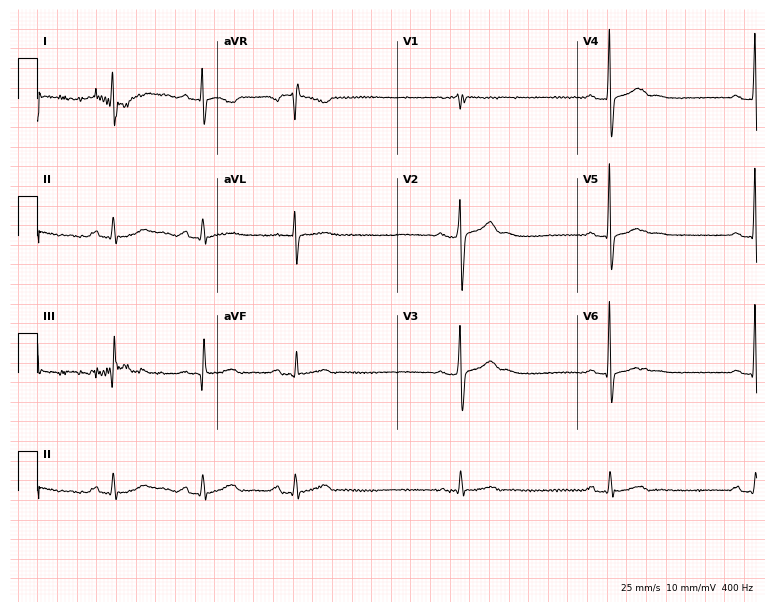
Standard 12-lead ECG recorded from a 19-year-old male (7.3-second recording at 400 Hz). Read as a normal ECG.